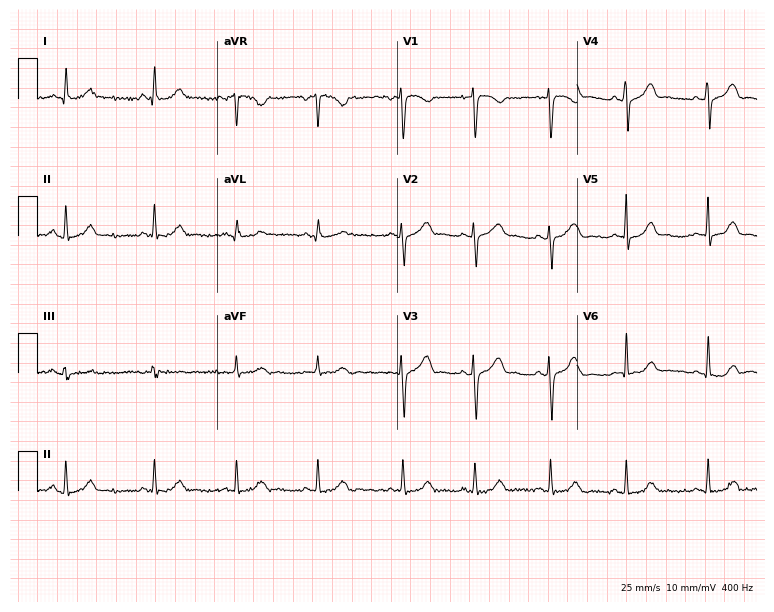
Resting 12-lead electrocardiogram. Patient: a woman, 35 years old. Read as a normal ECG.